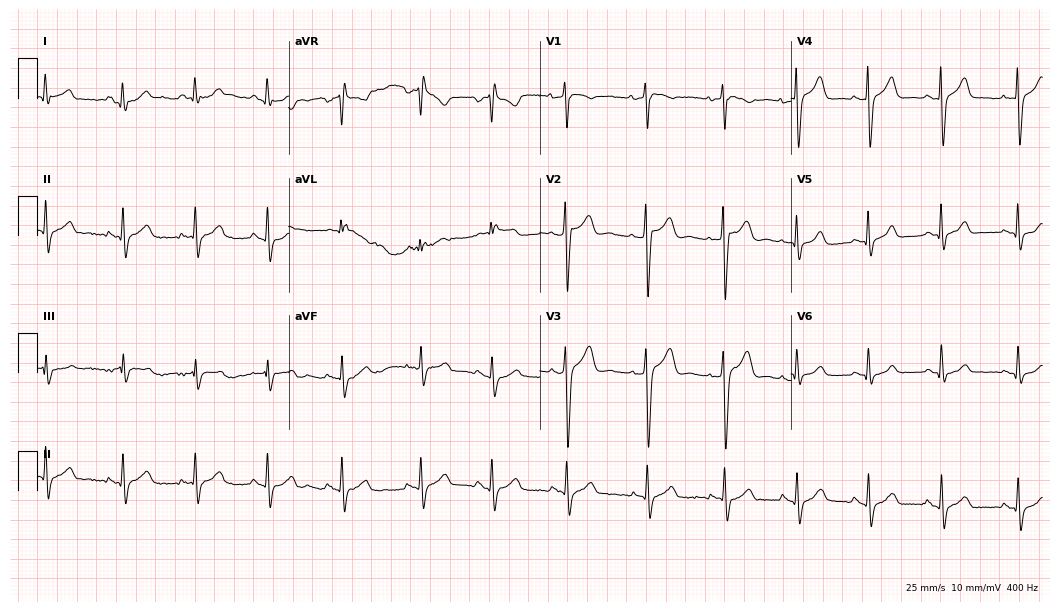
12-lead ECG from a female patient, 19 years old. Screened for six findings — first-degree AV block, right bundle branch block, left bundle branch block, sinus bradycardia, atrial fibrillation, sinus tachycardia — none is recorded.